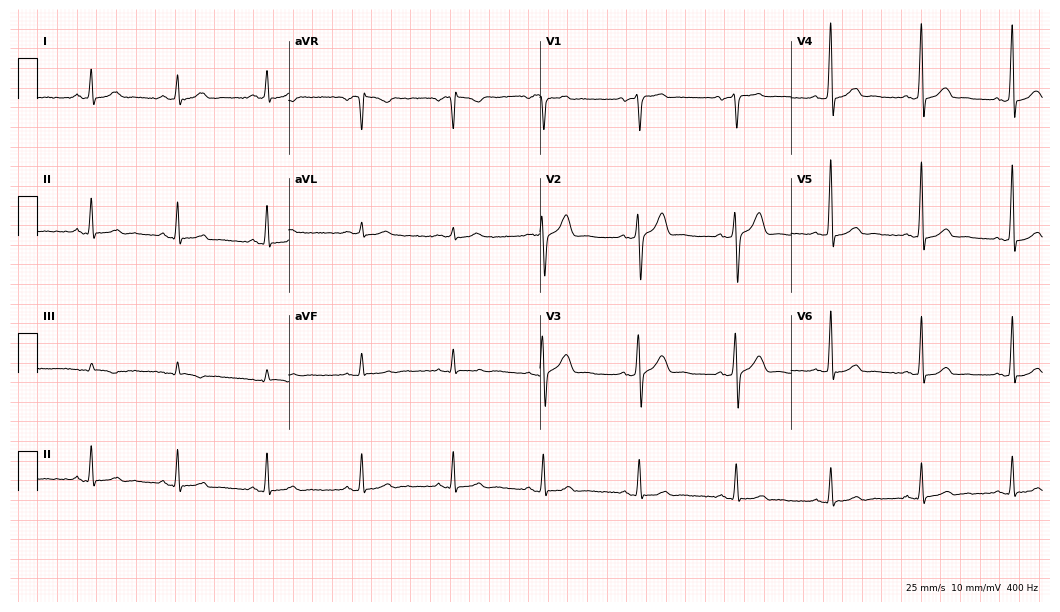
ECG (10.2-second recording at 400 Hz) — a 69-year-old male. Labelled as a normal ECG.